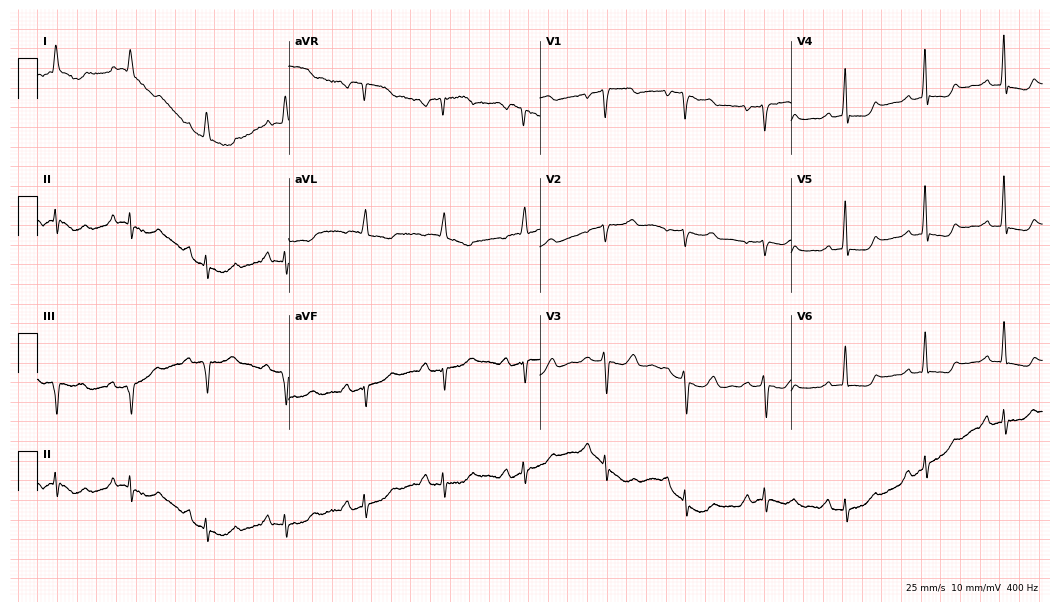
Electrocardiogram, a 78-year-old woman. Of the six screened findings (first-degree AV block, right bundle branch block (RBBB), left bundle branch block (LBBB), sinus bradycardia, atrial fibrillation (AF), sinus tachycardia), none is recorded. Findings outside these six are not listed.